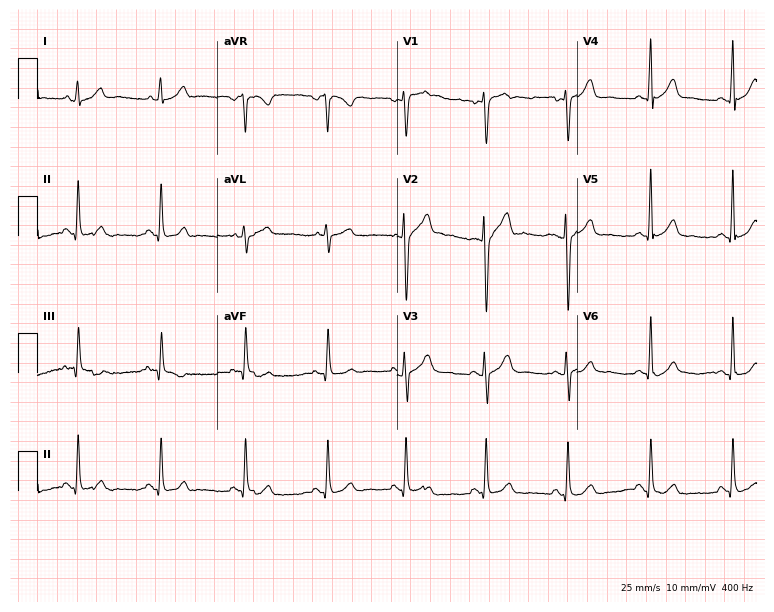
Electrocardiogram (7.3-second recording at 400 Hz), a 40-year-old female patient. Of the six screened findings (first-degree AV block, right bundle branch block, left bundle branch block, sinus bradycardia, atrial fibrillation, sinus tachycardia), none is recorded.